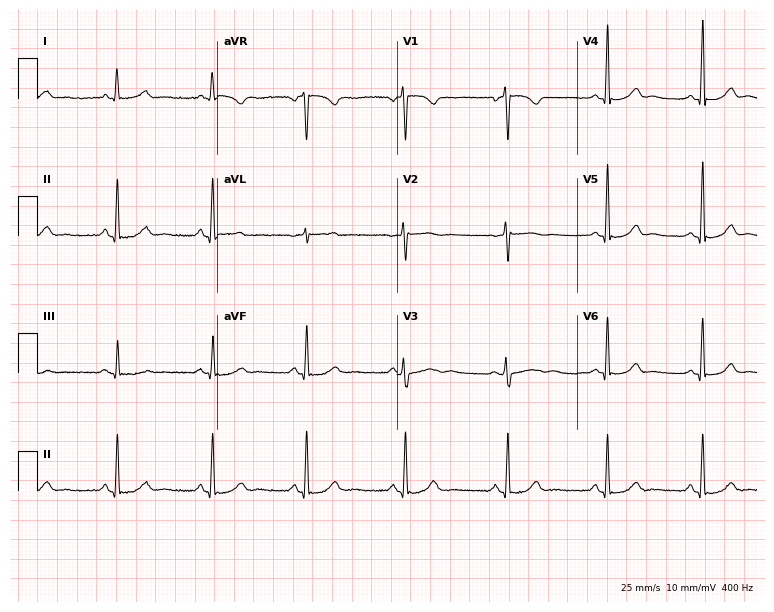
12-lead ECG (7.3-second recording at 400 Hz) from a female, 40 years old. Labelled as a normal ECG.